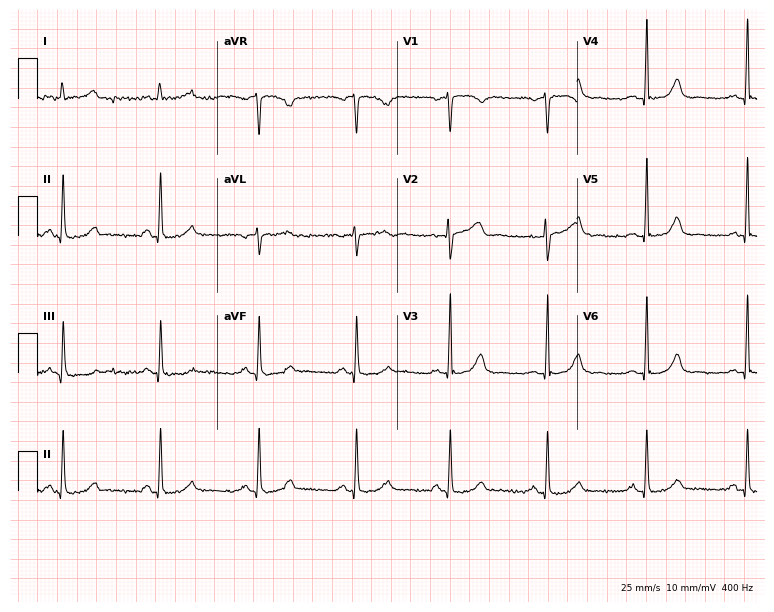
Electrocardiogram (7.3-second recording at 400 Hz), a woman, 40 years old. Of the six screened findings (first-degree AV block, right bundle branch block, left bundle branch block, sinus bradycardia, atrial fibrillation, sinus tachycardia), none is recorded. Only these six findings were labelled.